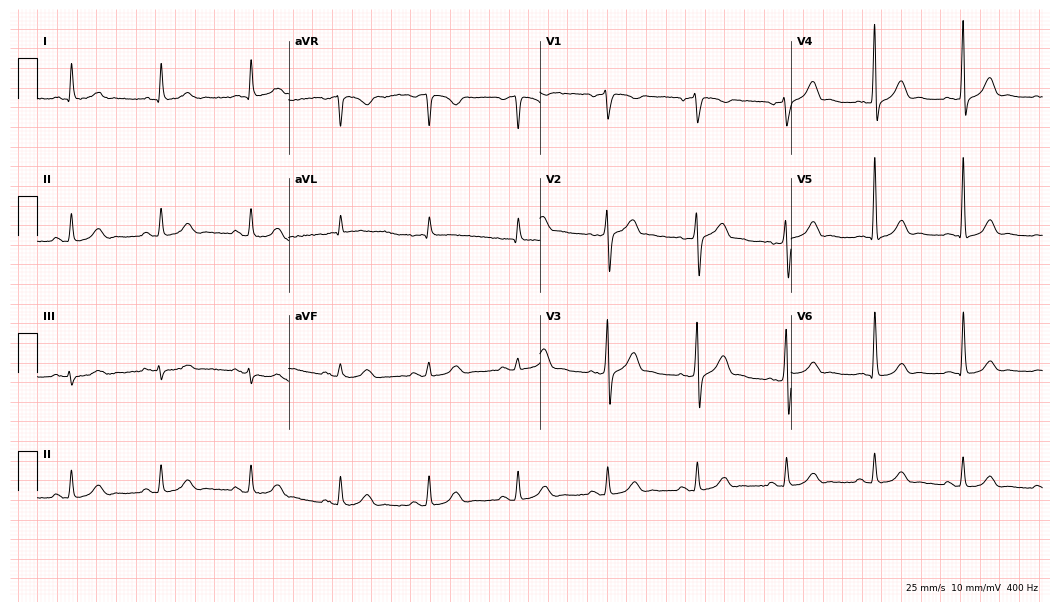
12-lead ECG from a man, 64 years old. Recorded interpretation: within normal limits.